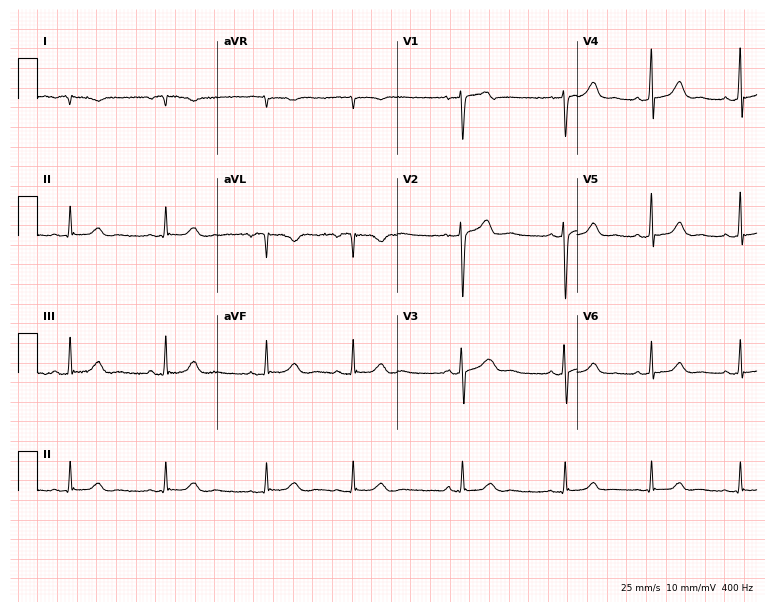
Resting 12-lead electrocardiogram. Patient: a woman, 34 years old. Read as a normal ECG.